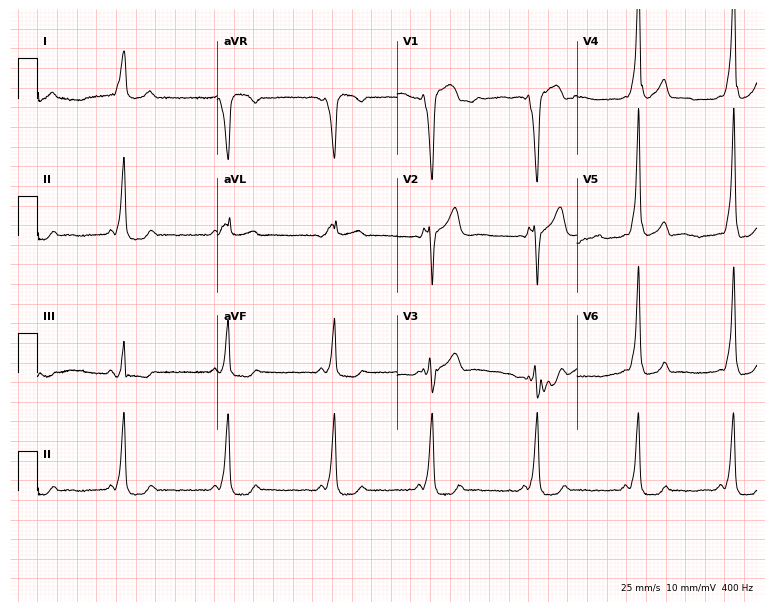
Standard 12-lead ECG recorded from a male patient, 29 years old (7.3-second recording at 400 Hz). None of these six findings is recorded: first-degree AV block, right bundle branch block, left bundle branch block, sinus bradycardia, atrial fibrillation, sinus tachycardia. Findings outside these six are not listed.